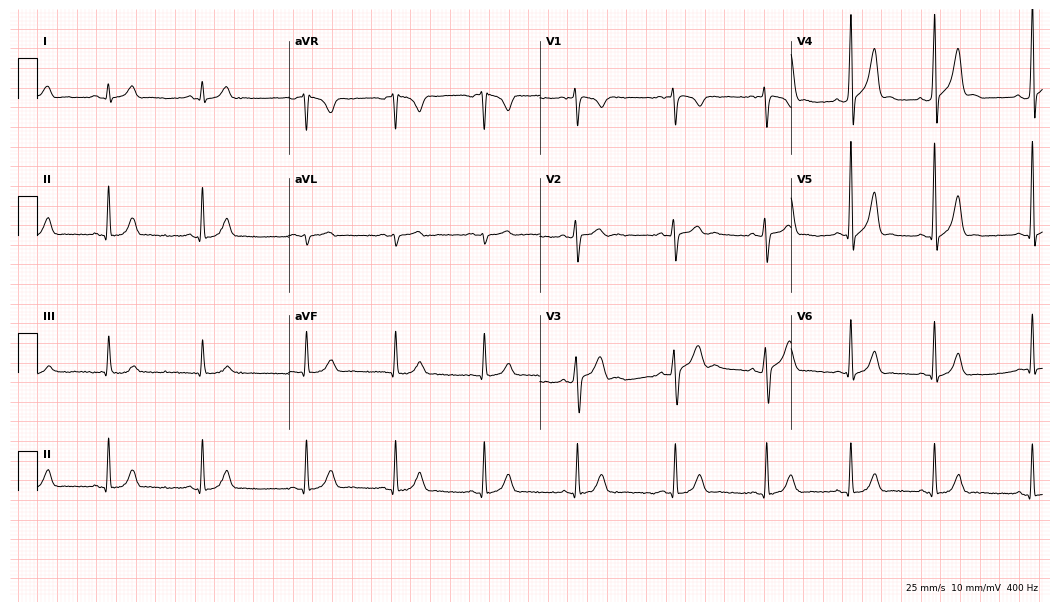
12-lead ECG (10.2-second recording at 400 Hz) from an 18-year-old male patient. Labelled as a normal ECG.